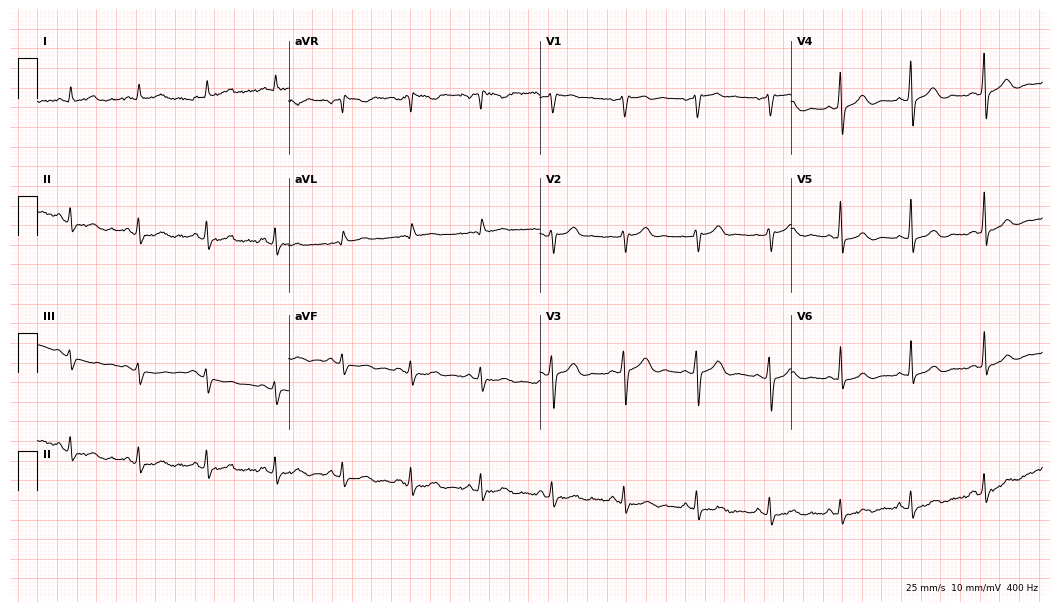
ECG — a female patient, 41 years old. Labelled as a normal ECG.